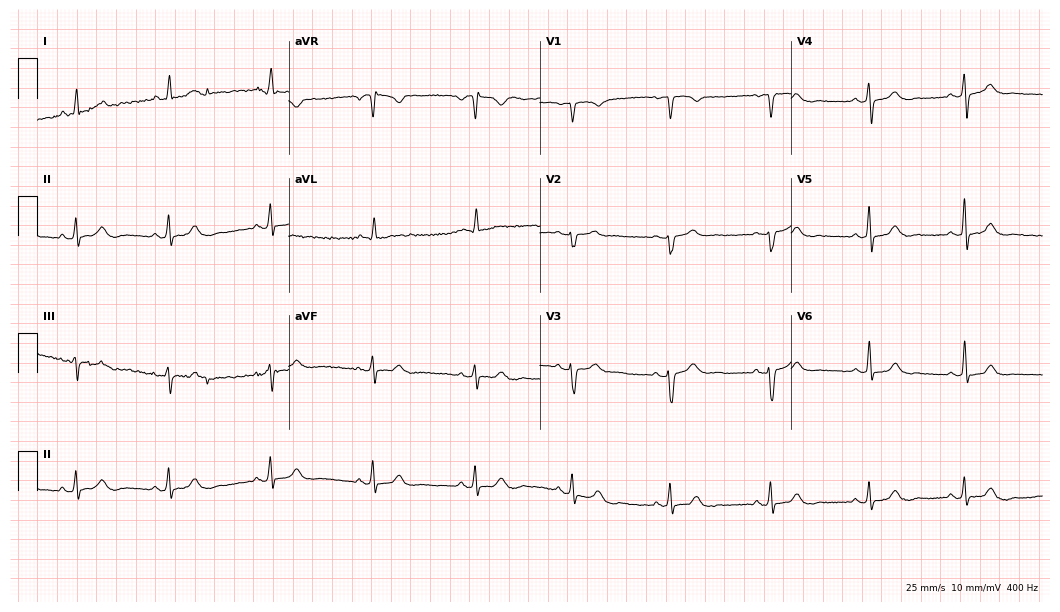
Electrocardiogram (10.2-second recording at 400 Hz), a 44-year-old female. Of the six screened findings (first-degree AV block, right bundle branch block (RBBB), left bundle branch block (LBBB), sinus bradycardia, atrial fibrillation (AF), sinus tachycardia), none is recorded. Only these six findings were labelled.